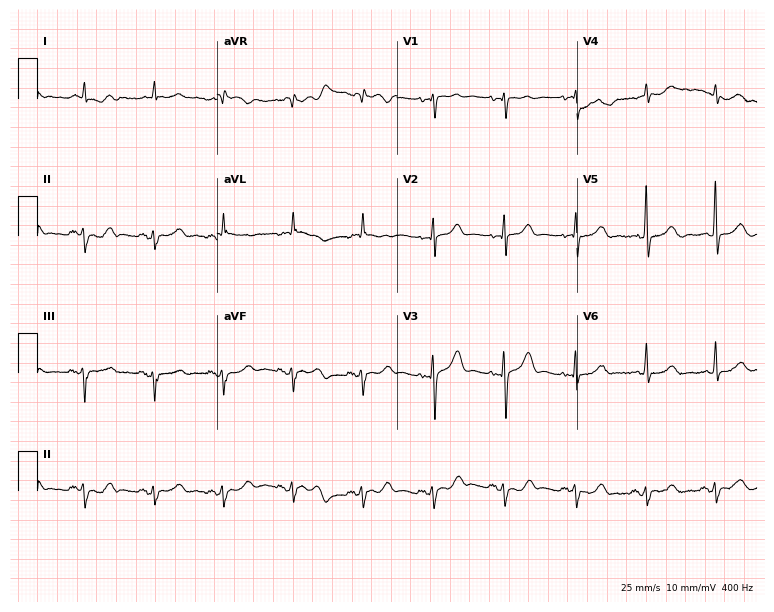
ECG — a female, 85 years old. Screened for six findings — first-degree AV block, right bundle branch block, left bundle branch block, sinus bradycardia, atrial fibrillation, sinus tachycardia — none is recorded. Other findings, if any, are not listed.